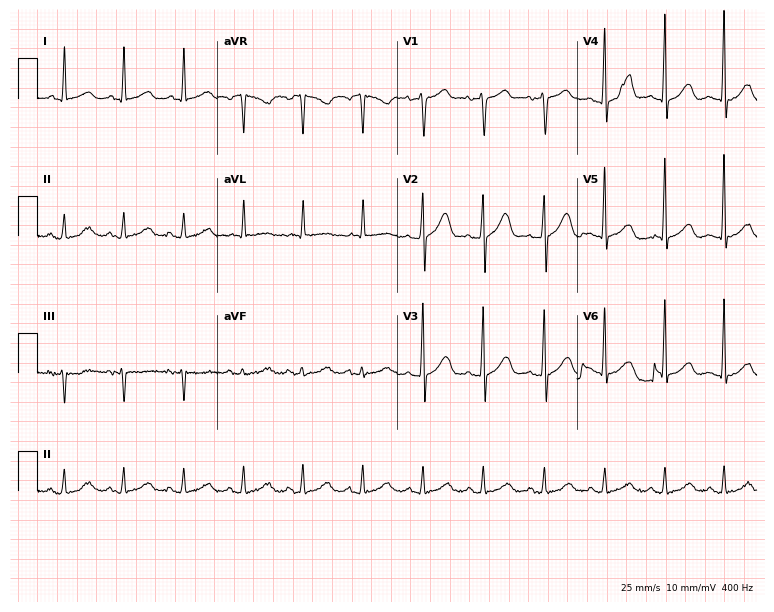
ECG (7.3-second recording at 400 Hz) — a female patient, 56 years old. Labelled as a normal ECG.